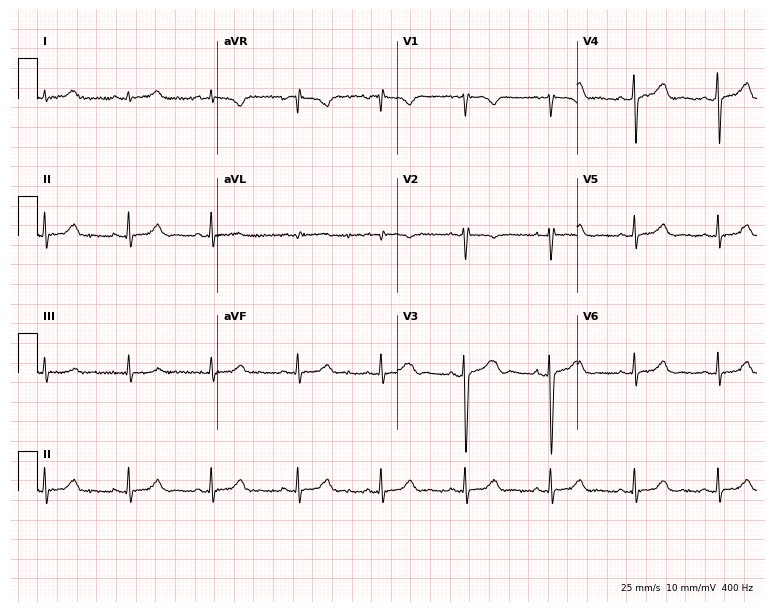
Resting 12-lead electrocardiogram. Patient: a female, 47 years old. Read as a normal ECG.